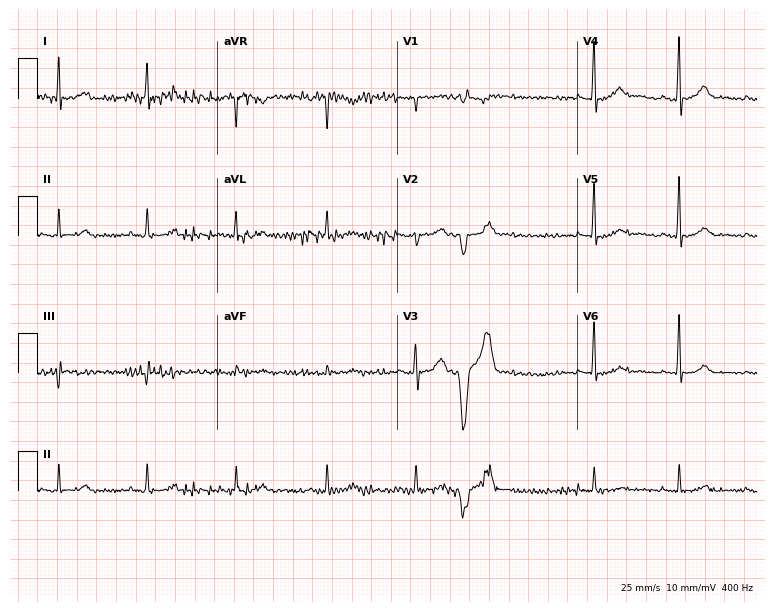
ECG (7.3-second recording at 400 Hz) — a female, 78 years old. Screened for six findings — first-degree AV block, right bundle branch block (RBBB), left bundle branch block (LBBB), sinus bradycardia, atrial fibrillation (AF), sinus tachycardia — none is recorded. Findings outside these six are not listed.